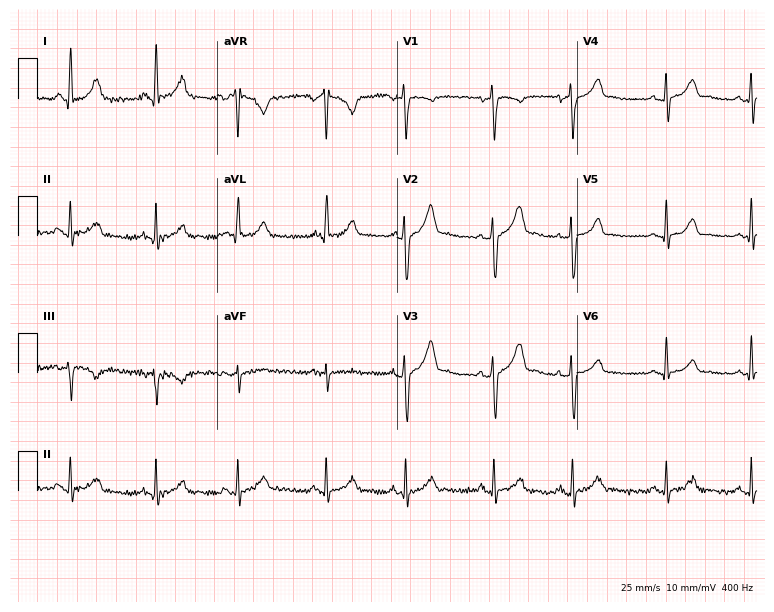
Resting 12-lead electrocardiogram. Patient: a 37-year-old male. Read as a normal ECG.